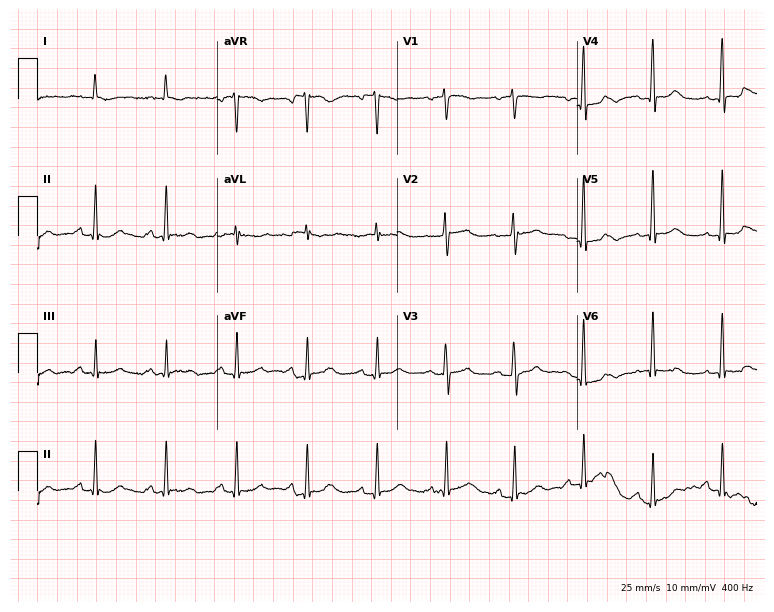
ECG (7.3-second recording at 400 Hz) — a female, 68 years old. Labelled as a normal ECG.